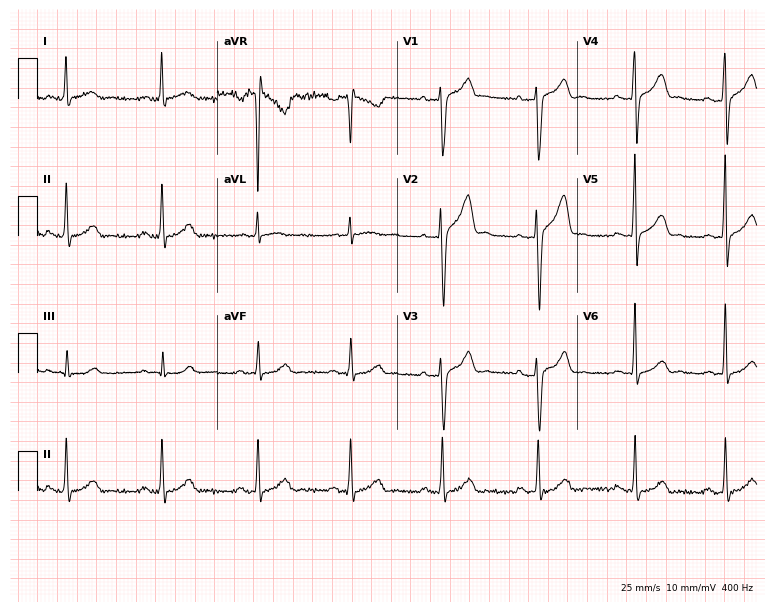
Resting 12-lead electrocardiogram. Patient: a male, 30 years old. Read as a normal ECG.